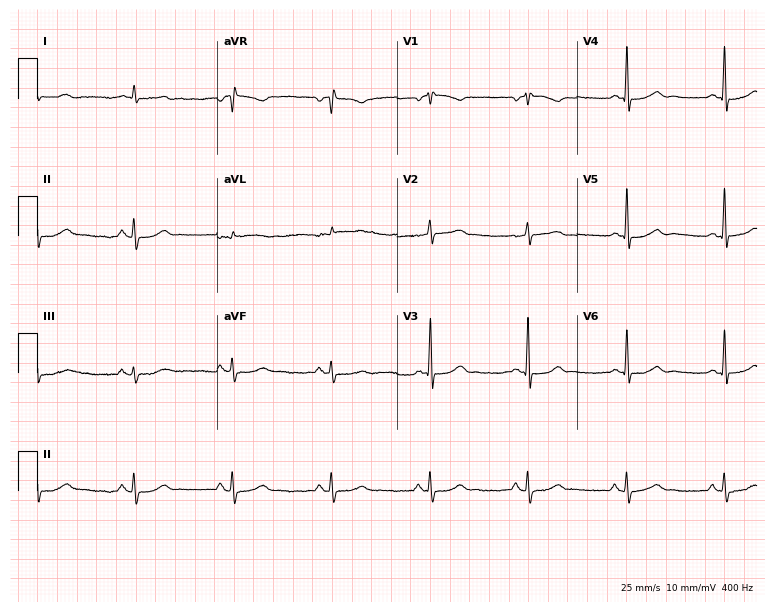
12-lead ECG from a man, 77 years old. Recorded interpretation: within normal limits.